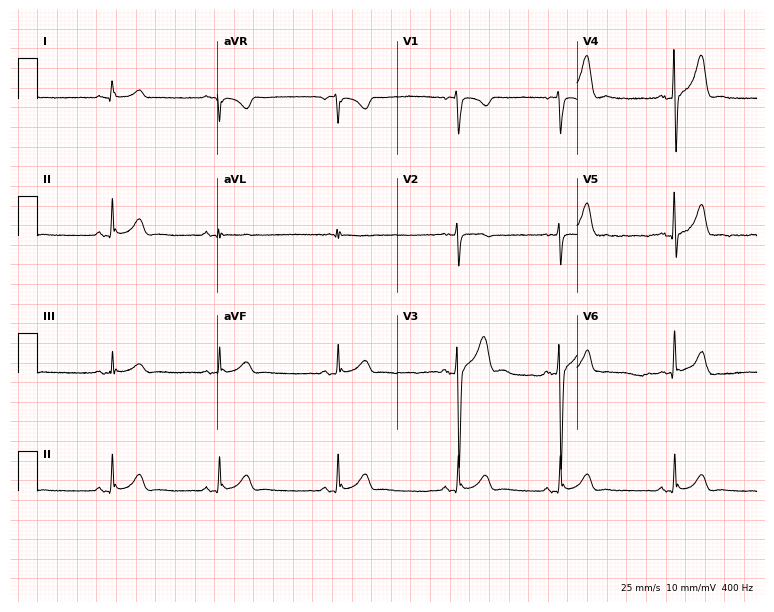
ECG — a man, 20 years old. Labelled as a normal ECG.